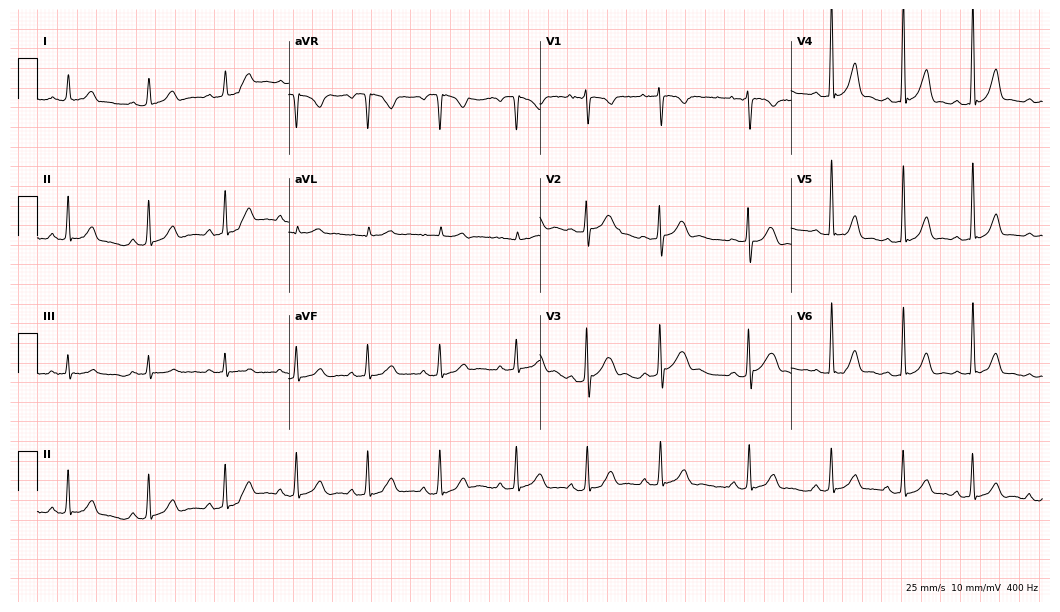
12-lead ECG (10.2-second recording at 400 Hz) from a 19-year-old woman. Labelled as a normal ECG.